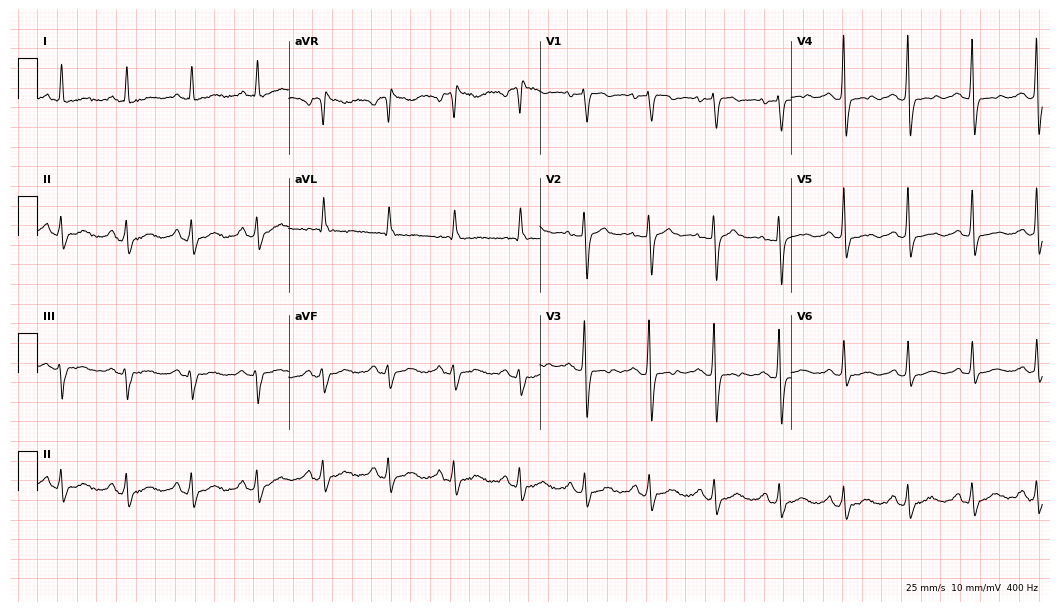
Standard 12-lead ECG recorded from a 72-year-old female (10.2-second recording at 400 Hz). None of these six findings is recorded: first-degree AV block, right bundle branch block, left bundle branch block, sinus bradycardia, atrial fibrillation, sinus tachycardia.